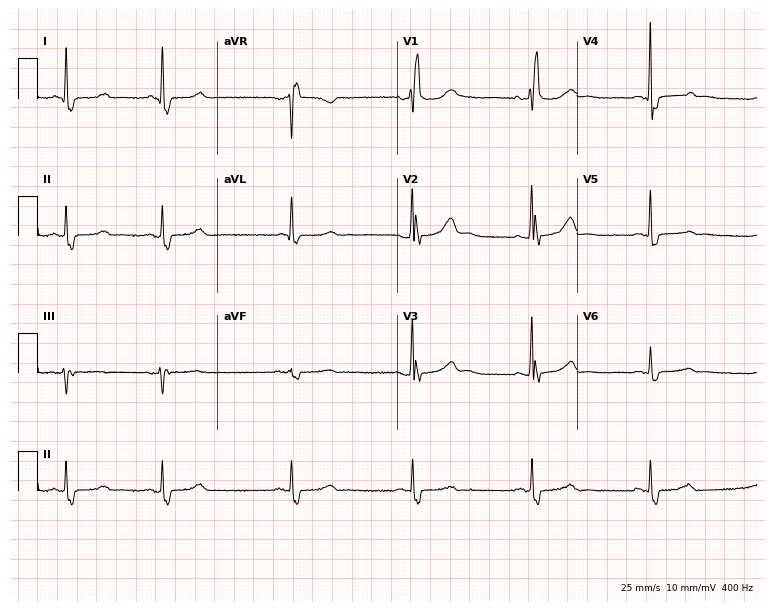
Standard 12-lead ECG recorded from a 58-year-old female. The tracing shows right bundle branch block (RBBB), sinus bradycardia (a sinus rate of 50 beats per minute or less).